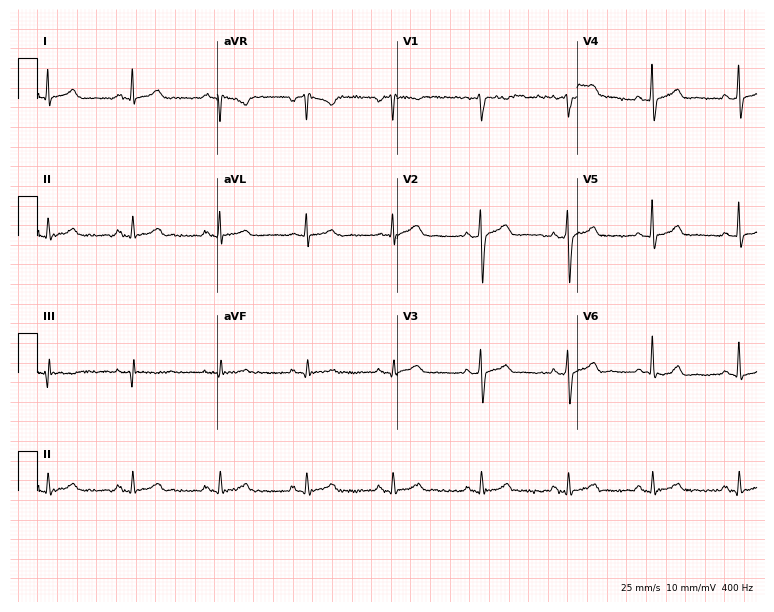
ECG — a male patient, 47 years old. Labelled as a normal ECG.